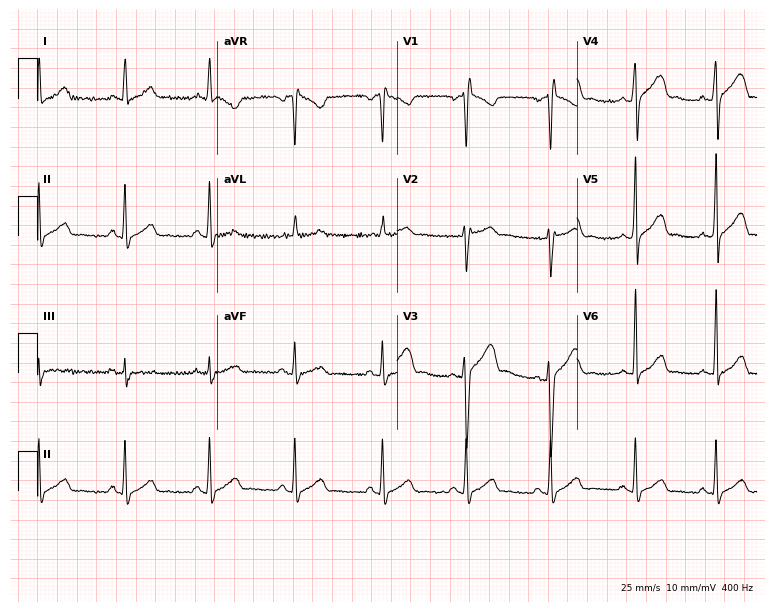
Resting 12-lead electrocardiogram (7.3-second recording at 400 Hz). Patient: a male, 28 years old. None of these six findings is recorded: first-degree AV block, right bundle branch block (RBBB), left bundle branch block (LBBB), sinus bradycardia, atrial fibrillation (AF), sinus tachycardia. Only these six findings were labelled.